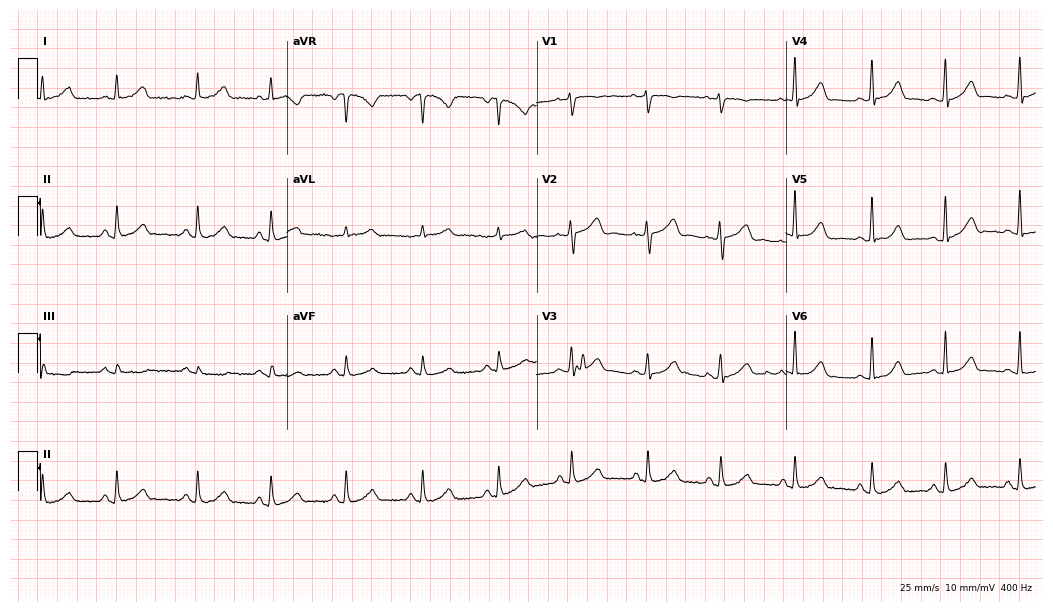
ECG (10.2-second recording at 400 Hz) — a female patient, 39 years old. Labelled as a normal ECG.